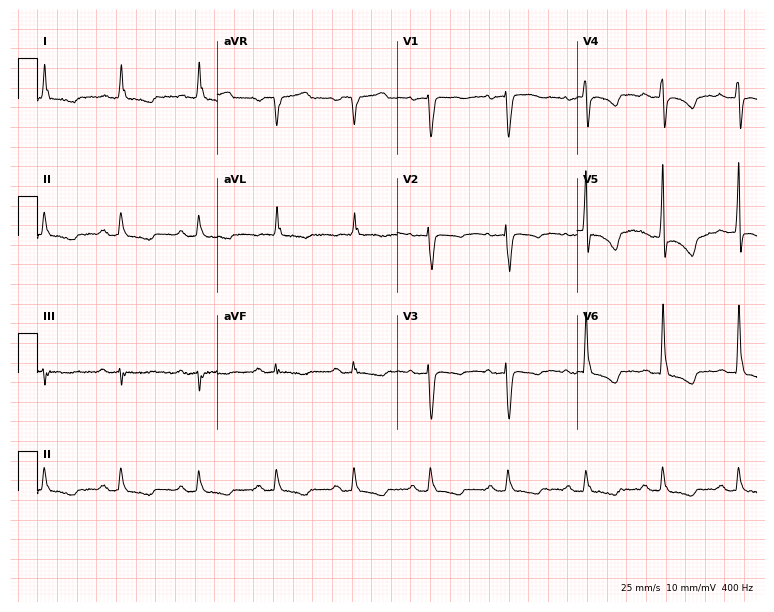
Standard 12-lead ECG recorded from a 75-year-old female patient. None of these six findings is recorded: first-degree AV block, right bundle branch block (RBBB), left bundle branch block (LBBB), sinus bradycardia, atrial fibrillation (AF), sinus tachycardia. Findings outside these six are not listed.